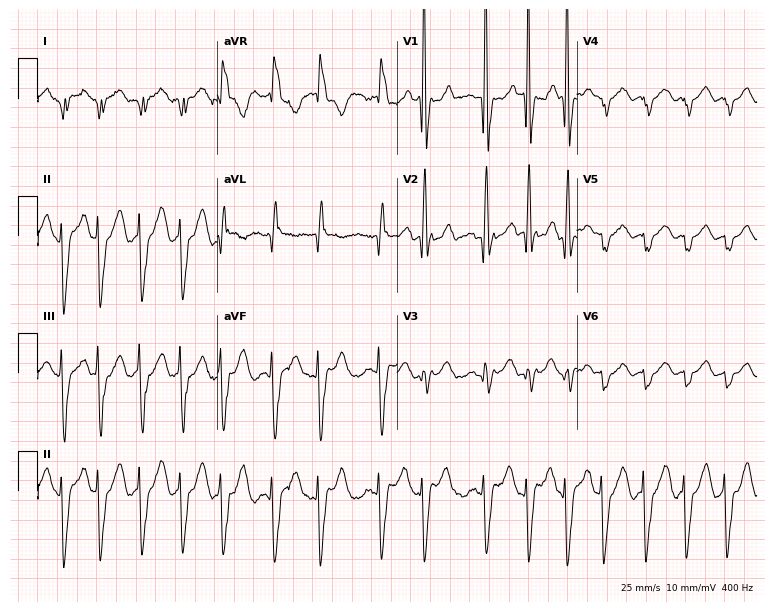
Electrocardiogram (7.3-second recording at 400 Hz), a 42-year-old female. Interpretation includes right bundle branch block (RBBB).